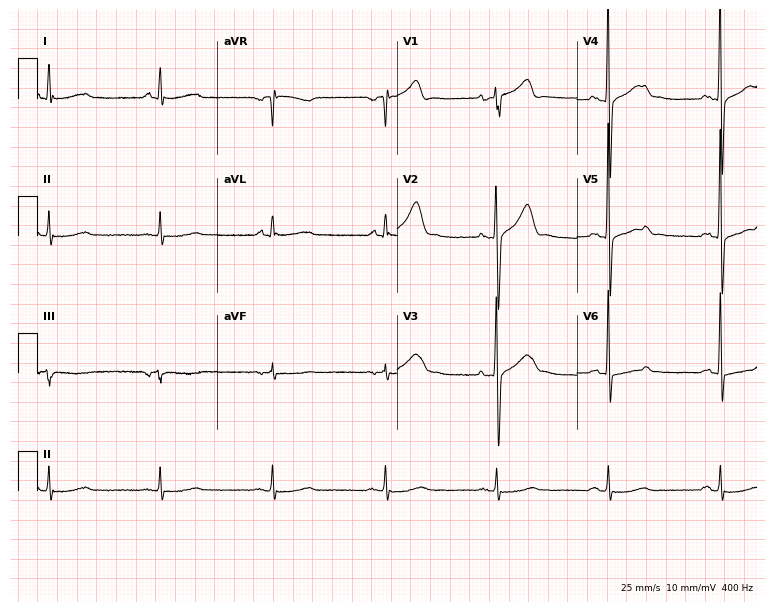
Resting 12-lead electrocardiogram (7.3-second recording at 400 Hz). Patient: a 59-year-old male. Read as a normal ECG.